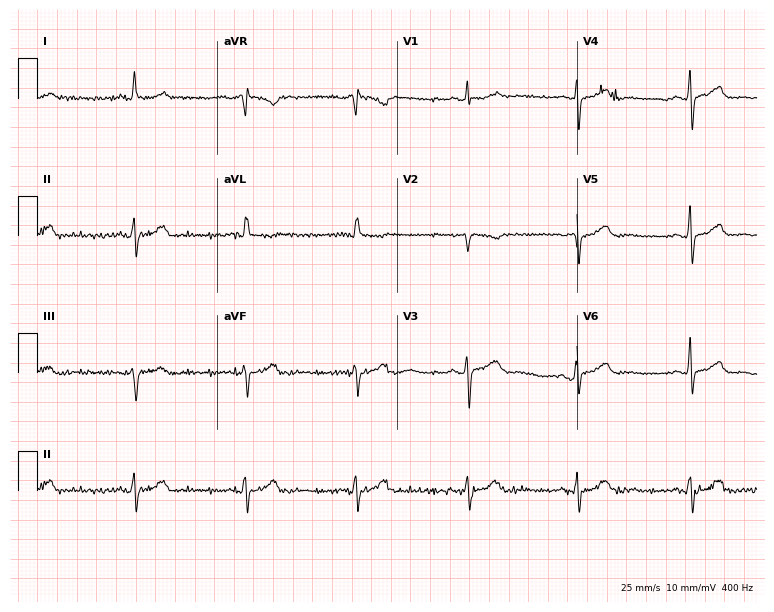
Electrocardiogram (7.3-second recording at 400 Hz), an 80-year-old female. Of the six screened findings (first-degree AV block, right bundle branch block, left bundle branch block, sinus bradycardia, atrial fibrillation, sinus tachycardia), none is recorded.